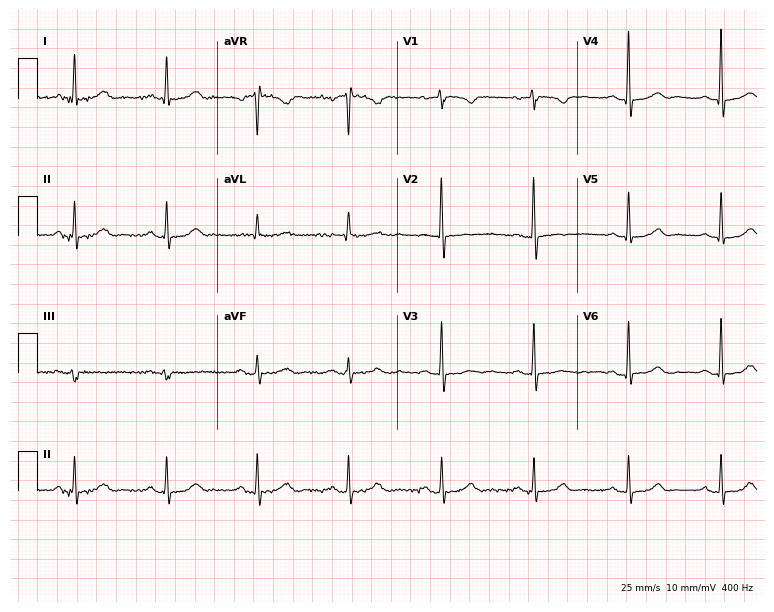
Standard 12-lead ECG recorded from a 76-year-old woman. None of these six findings is recorded: first-degree AV block, right bundle branch block, left bundle branch block, sinus bradycardia, atrial fibrillation, sinus tachycardia. Other findings, if any, are not listed.